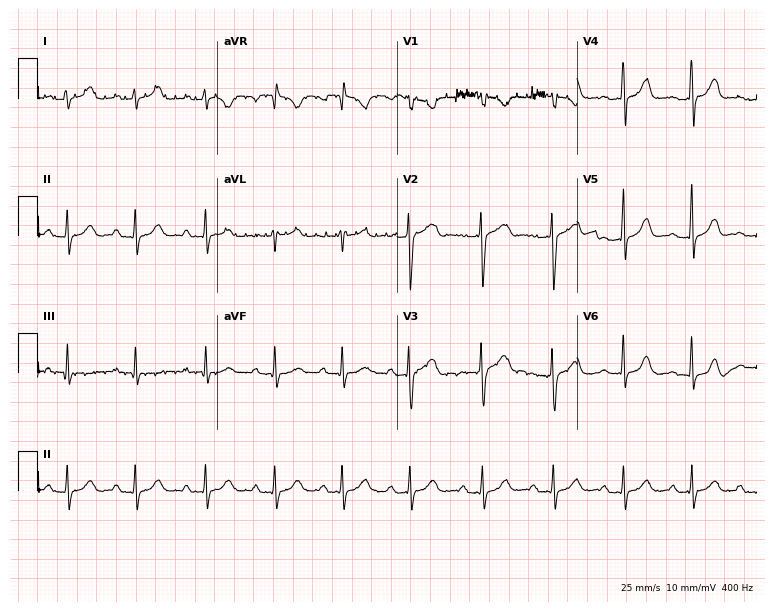
ECG (7.3-second recording at 400 Hz) — a woman, 34 years old. Labelled as a normal ECG.